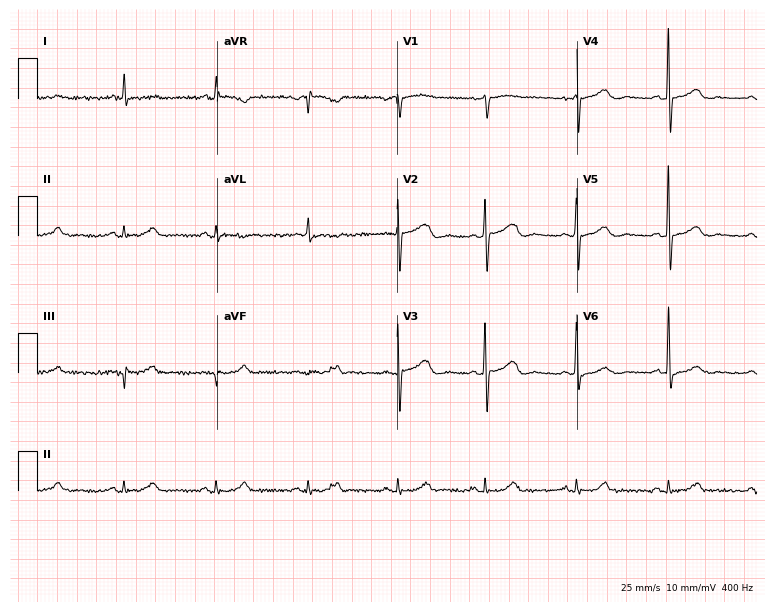
ECG — an 84-year-old woman. Screened for six findings — first-degree AV block, right bundle branch block, left bundle branch block, sinus bradycardia, atrial fibrillation, sinus tachycardia — none is recorded. Other findings, if any, are not listed.